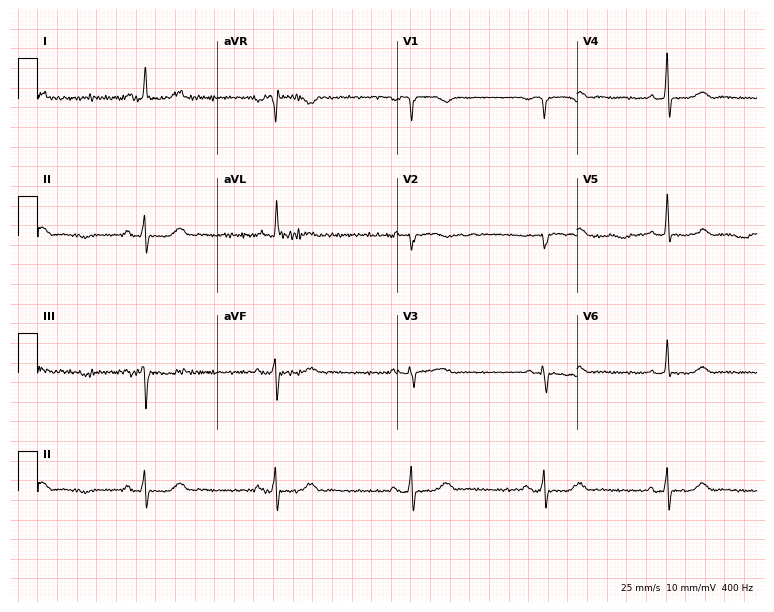
ECG (7.3-second recording at 400 Hz) — a 73-year-old woman. Labelled as a normal ECG.